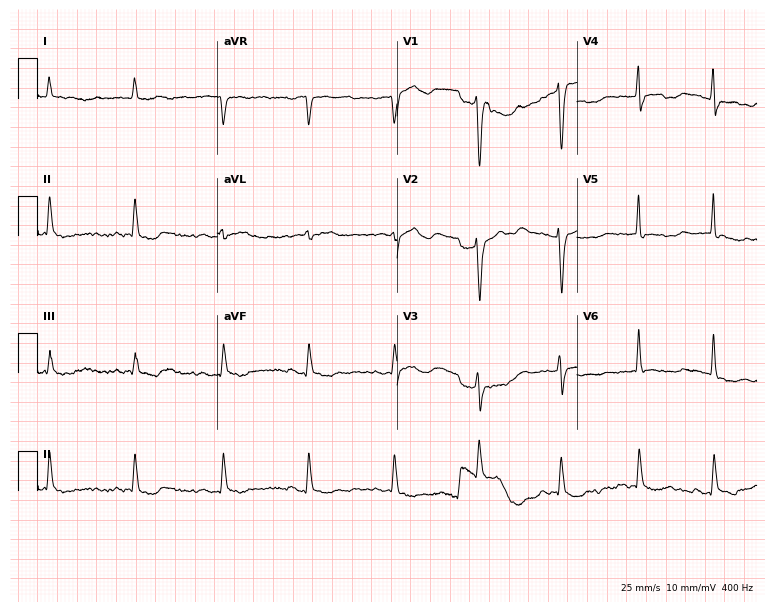
12-lead ECG from a 67-year-old female. Screened for six findings — first-degree AV block, right bundle branch block, left bundle branch block, sinus bradycardia, atrial fibrillation, sinus tachycardia — none is recorded. Findings outside these six are not listed.